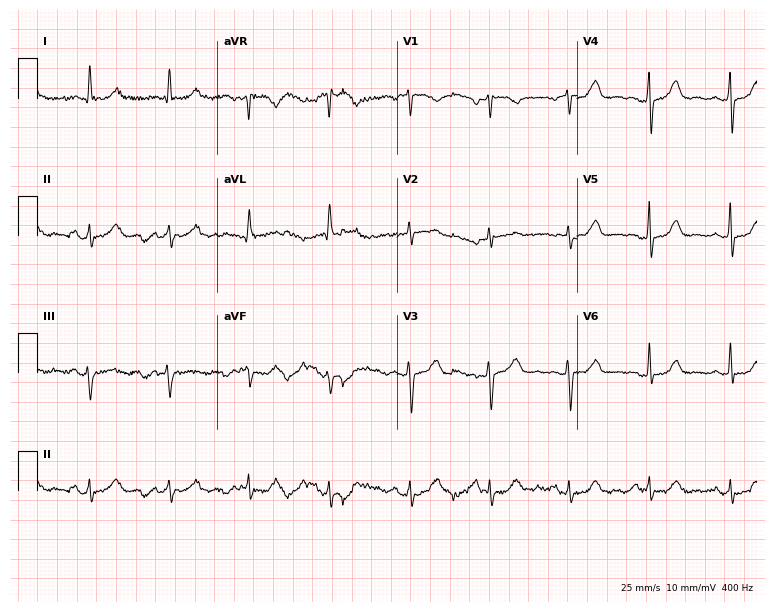
Resting 12-lead electrocardiogram (7.3-second recording at 400 Hz). Patient: a 75-year-old female. Read as a normal ECG.